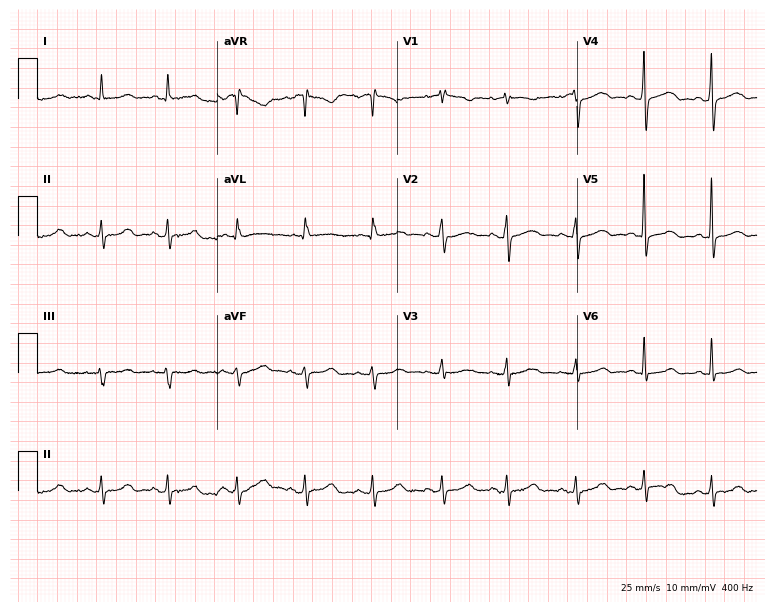
Resting 12-lead electrocardiogram. Patient: an 81-year-old woman. None of these six findings is recorded: first-degree AV block, right bundle branch block (RBBB), left bundle branch block (LBBB), sinus bradycardia, atrial fibrillation (AF), sinus tachycardia. Only these six findings were labelled.